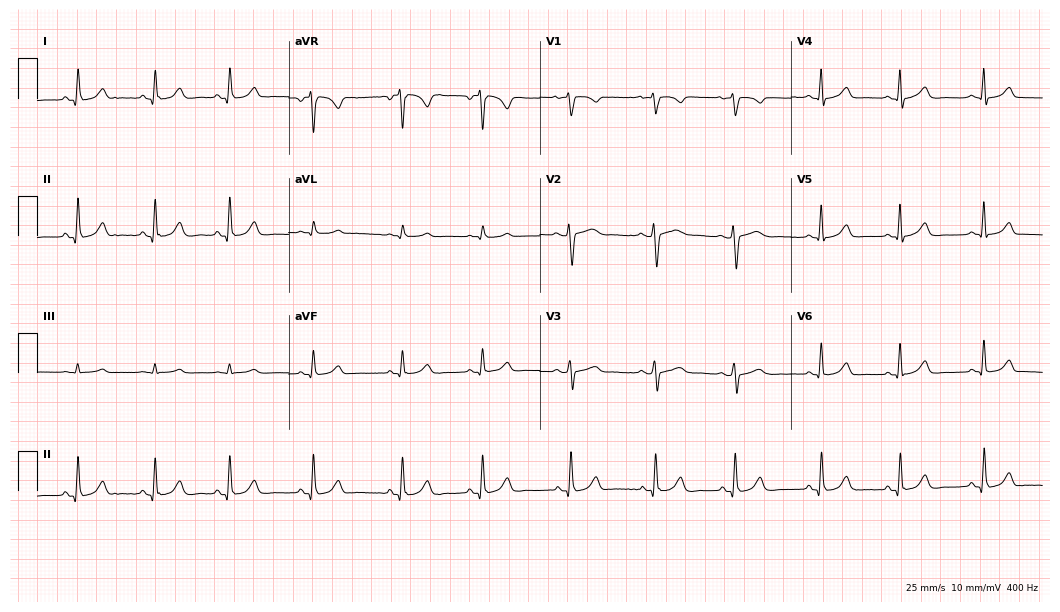
12-lead ECG (10.2-second recording at 400 Hz) from a female, 32 years old. Labelled as a normal ECG.